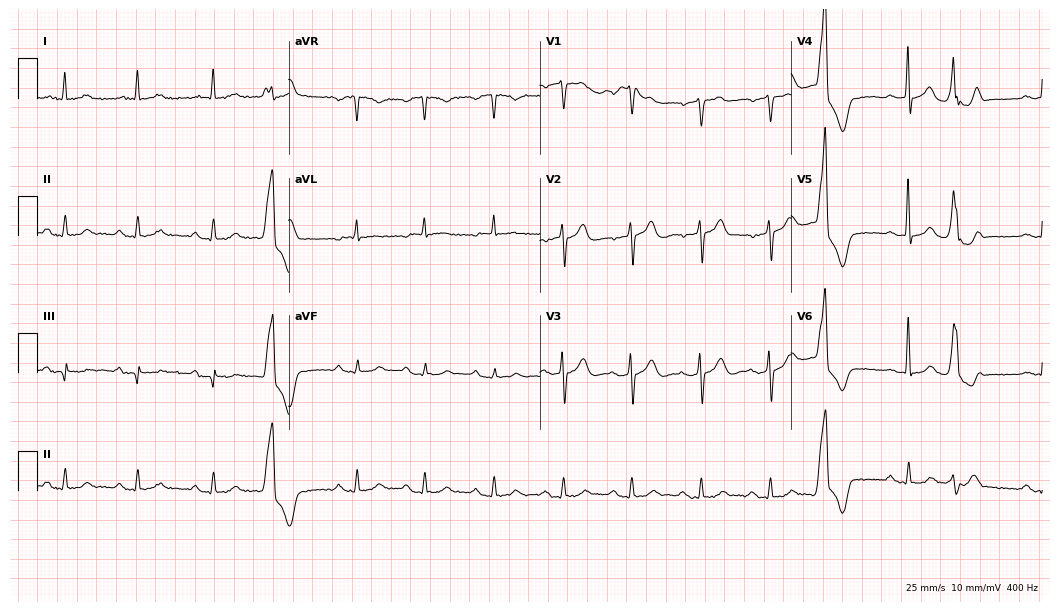
Electrocardiogram, an 83-year-old man. Of the six screened findings (first-degree AV block, right bundle branch block, left bundle branch block, sinus bradycardia, atrial fibrillation, sinus tachycardia), none is recorded.